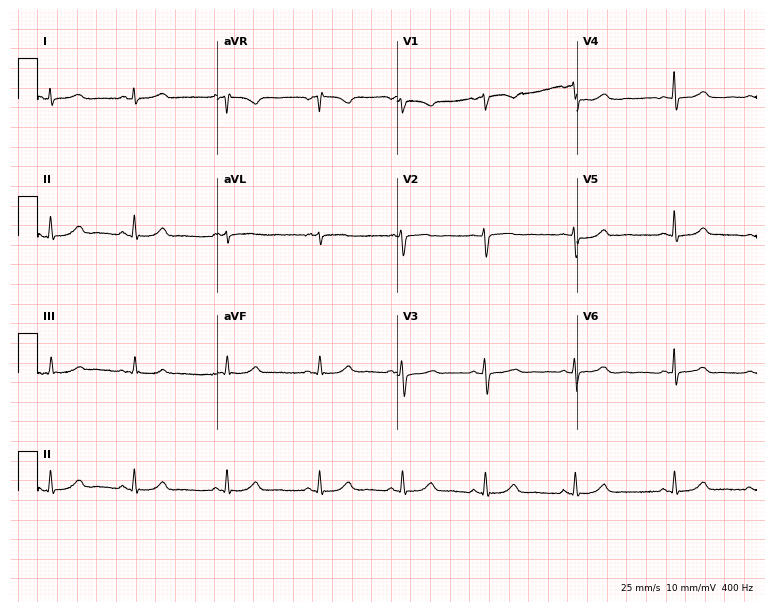
ECG (7.3-second recording at 400 Hz) — a female, 40 years old. Labelled as a normal ECG.